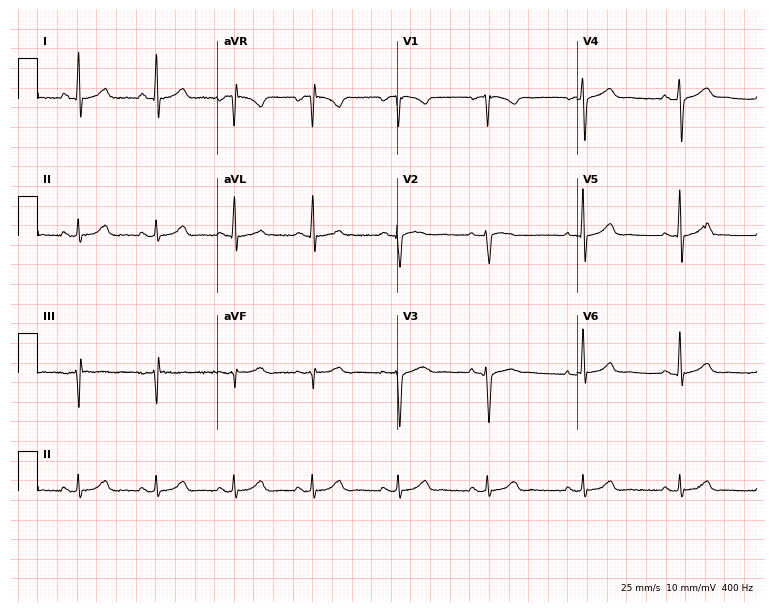
12-lead ECG from a woman, 52 years old (7.3-second recording at 400 Hz). Recorded interpretation: within normal limits.